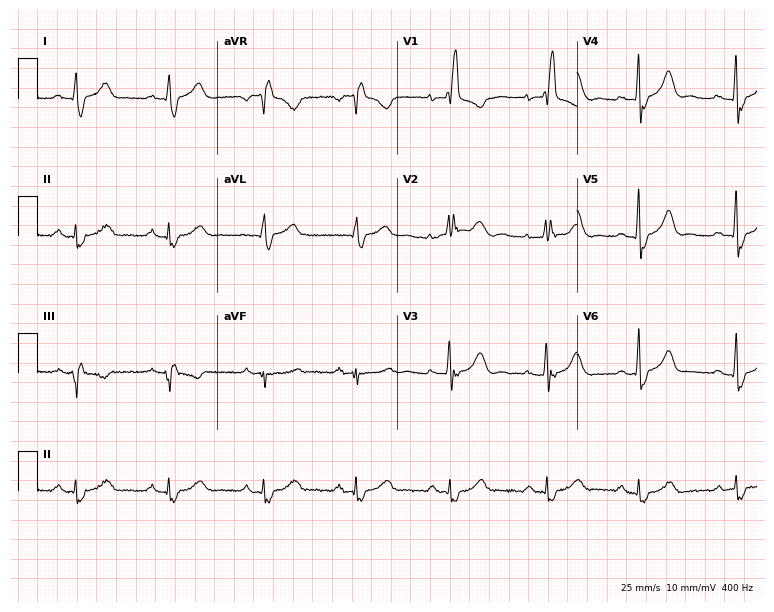
Resting 12-lead electrocardiogram. Patient: a female, 71 years old. The tracing shows right bundle branch block (RBBB).